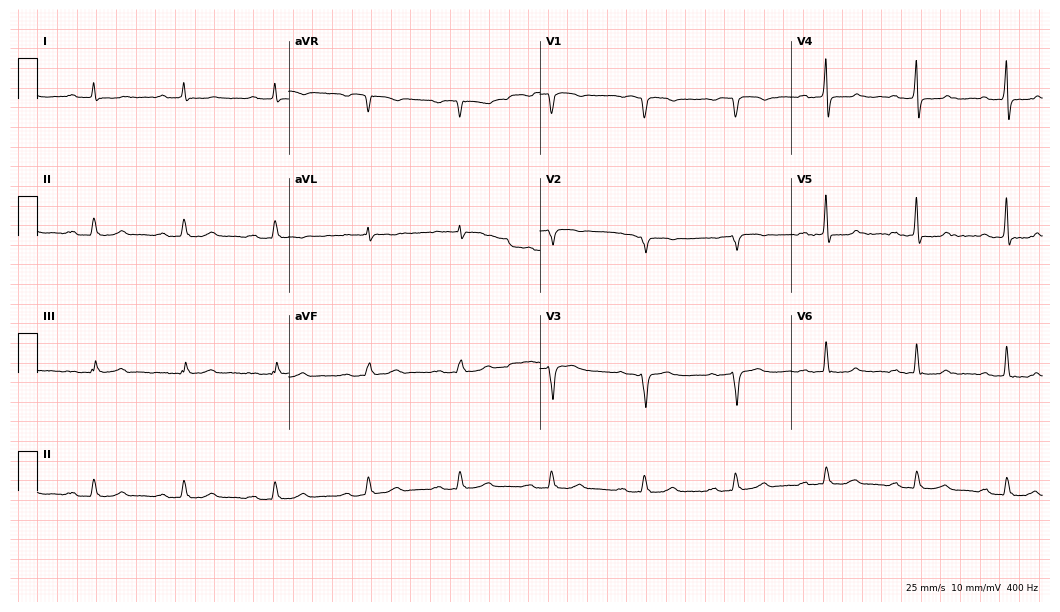
ECG — an 80-year-old man. Findings include first-degree AV block.